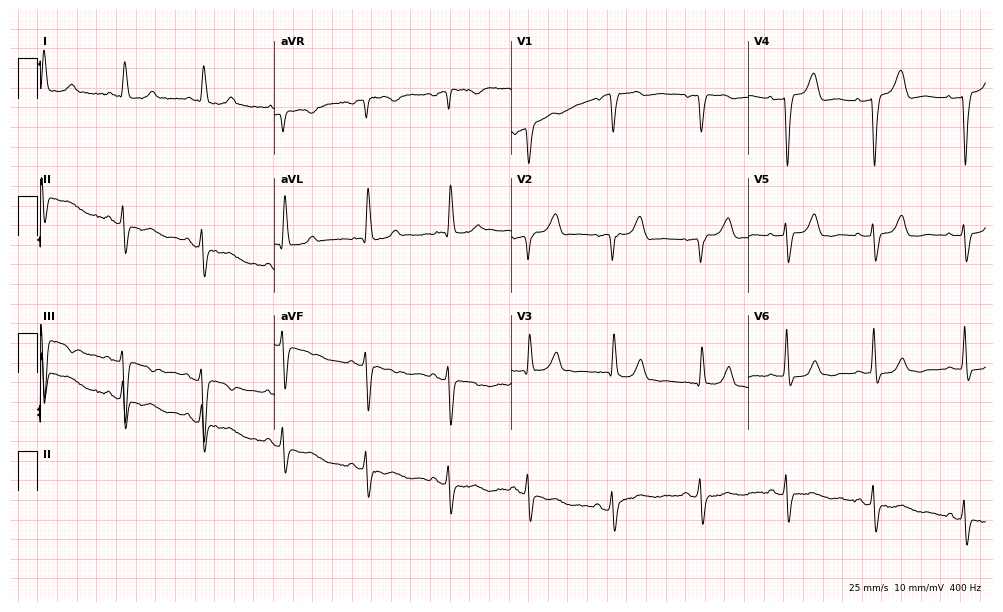
12-lead ECG (9.7-second recording at 400 Hz) from a woman, 79 years old. Screened for six findings — first-degree AV block, right bundle branch block, left bundle branch block, sinus bradycardia, atrial fibrillation, sinus tachycardia — none is recorded. Only these six findings were labelled.